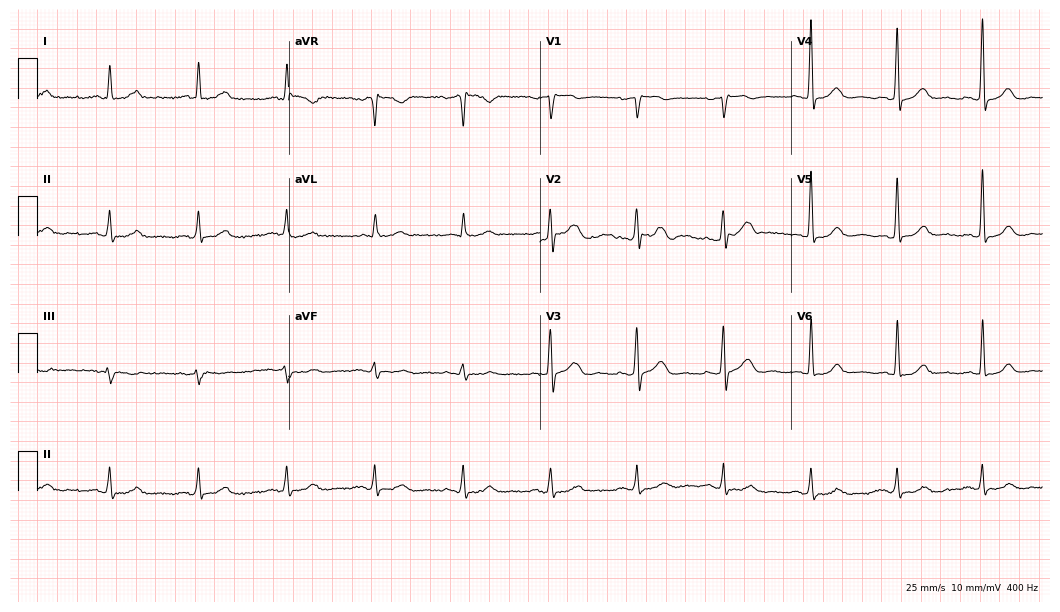
ECG (10.2-second recording at 400 Hz) — a male, 78 years old. Labelled as a normal ECG.